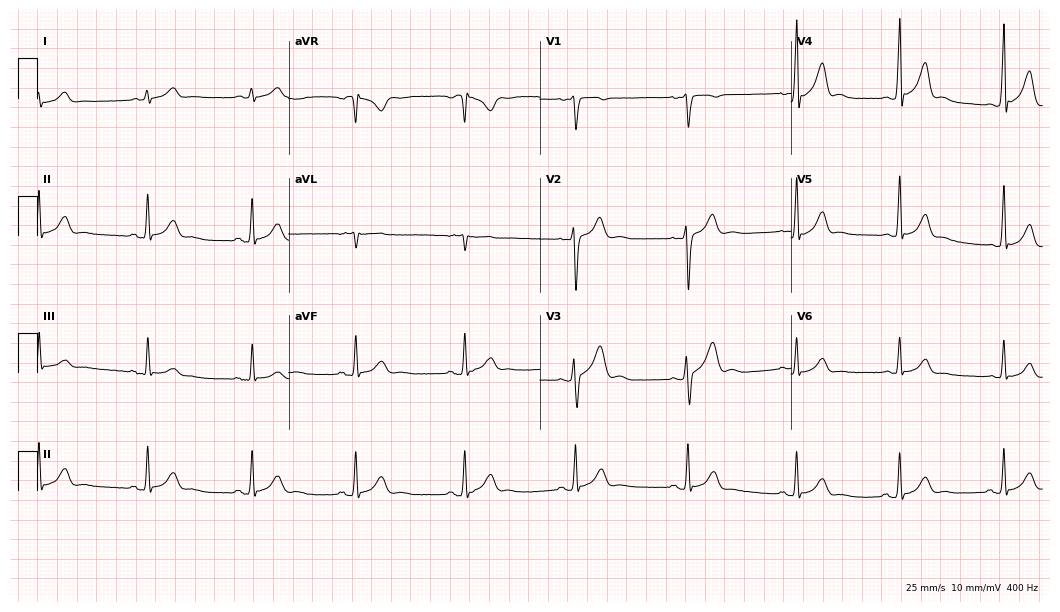
Resting 12-lead electrocardiogram (10.2-second recording at 400 Hz). Patient: a male, 35 years old. Read as a normal ECG.